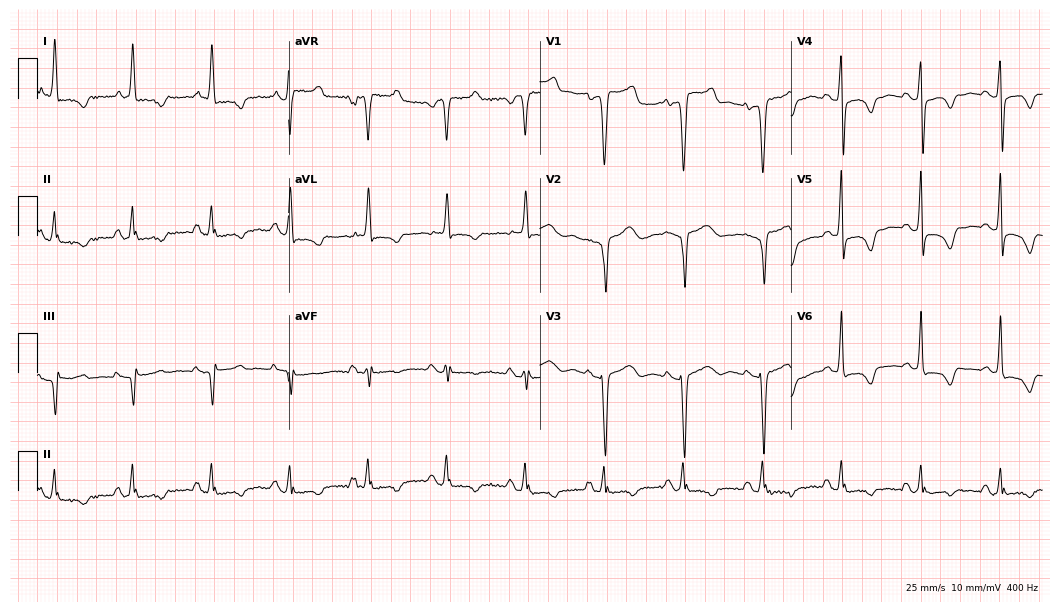
Resting 12-lead electrocardiogram (10.2-second recording at 400 Hz). Patient: a female, 77 years old. None of these six findings is recorded: first-degree AV block, right bundle branch block, left bundle branch block, sinus bradycardia, atrial fibrillation, sinus tachycardia.